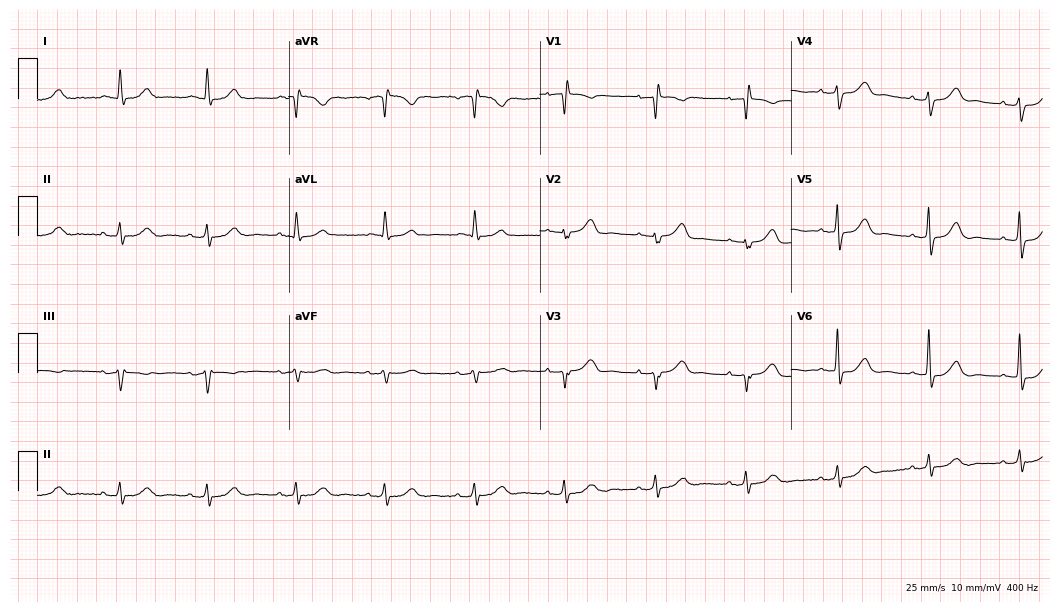
Standard 12-lead ECG recorded from an 85-year-old woman (10.2-second recording at 400 Hz). Read as a normal ECG.